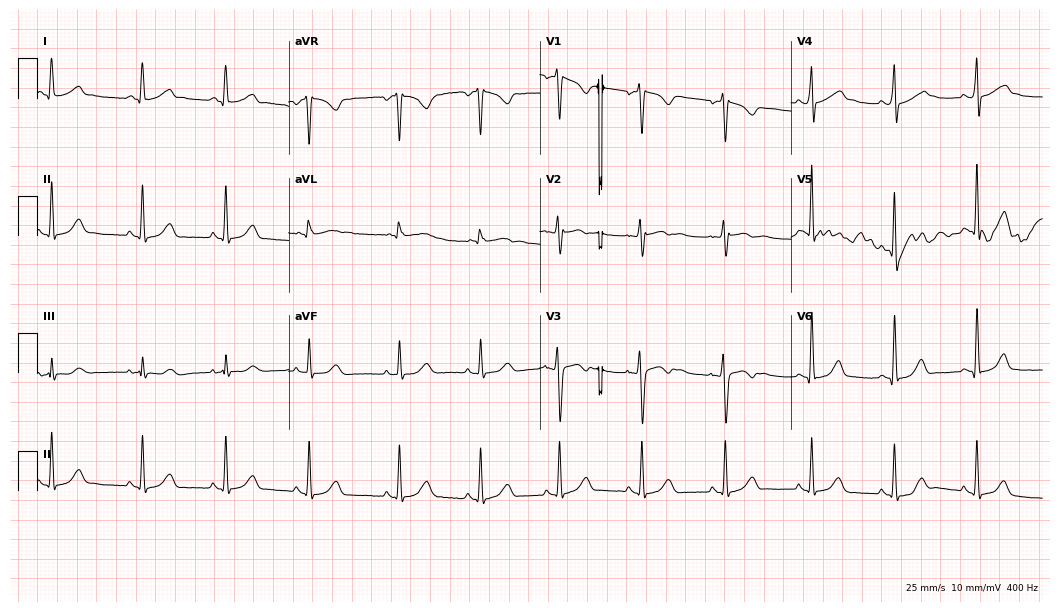
Electrocardiogram (10.2-second recording at 400 Hz), a female patient, 21 years old. Of the six screened findings (first-degree AV block, right bundle branch block (RBBB), left bundle branch block (LBBB), sinus bradycardia, atrial fibrillation (AF), sinus tachycardia), none is recorded.